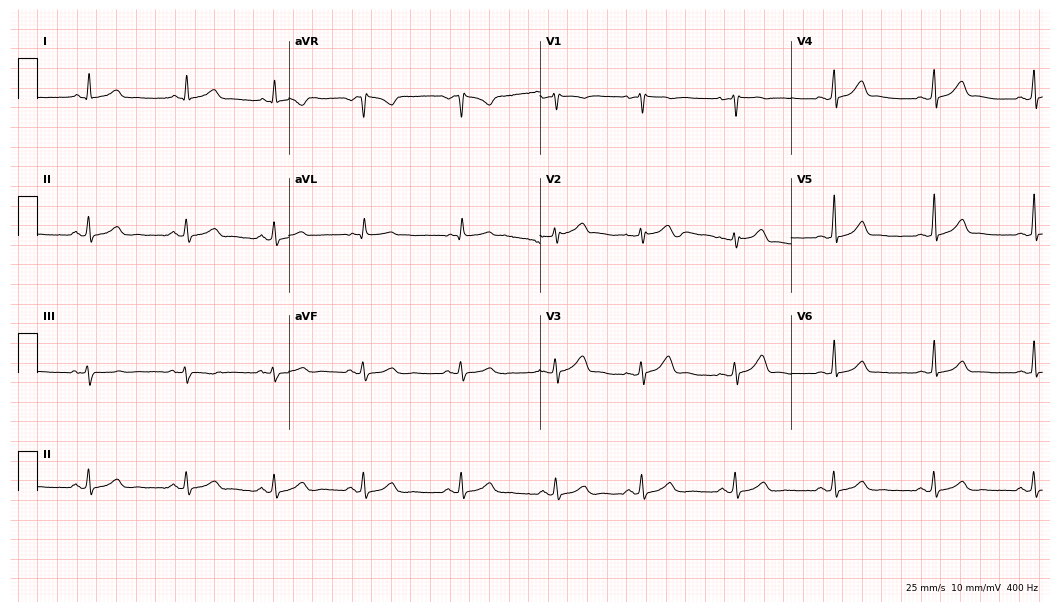
12-lead ECG from a woman, 35 years old. Recorded interpretation: within normal limits.